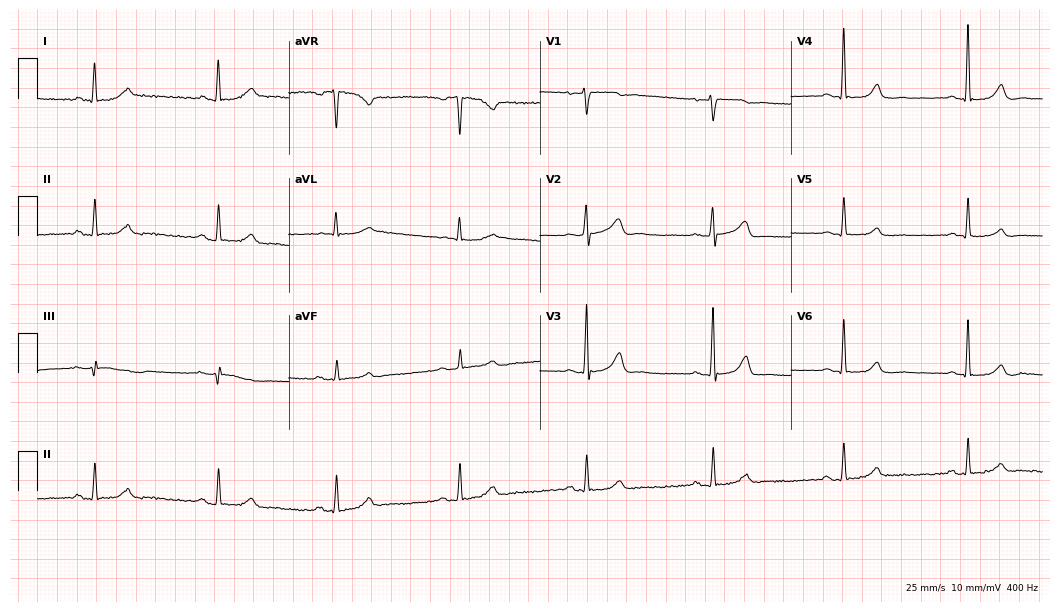
12-lead ECG (10.2-second recording at 400 Hz) from a 61-year-old female. Findings include sinus bradycardia (a sinus rate of 50 beats per minute or less).